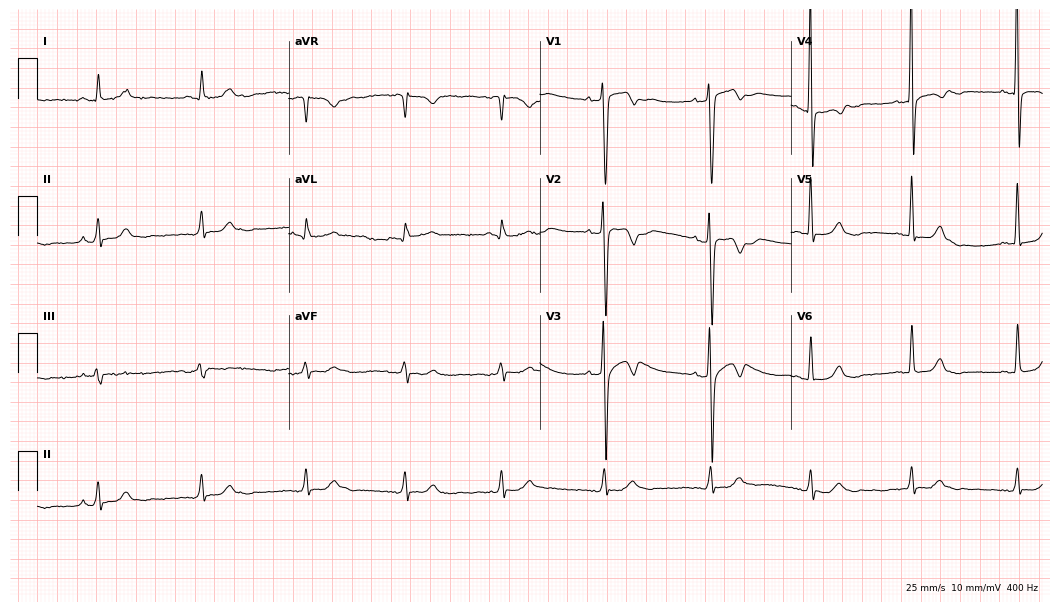
Electrocardiogram, a 65-year-old man. Of the six screened findings (first-degree AV block, right bundle branch block (RBBB), left bundle branch block (LBBB), sinus bradycardia, atrial fibrillation (AF), sinus tachycardia), none is recorded. Other findings, if any, are not listed.